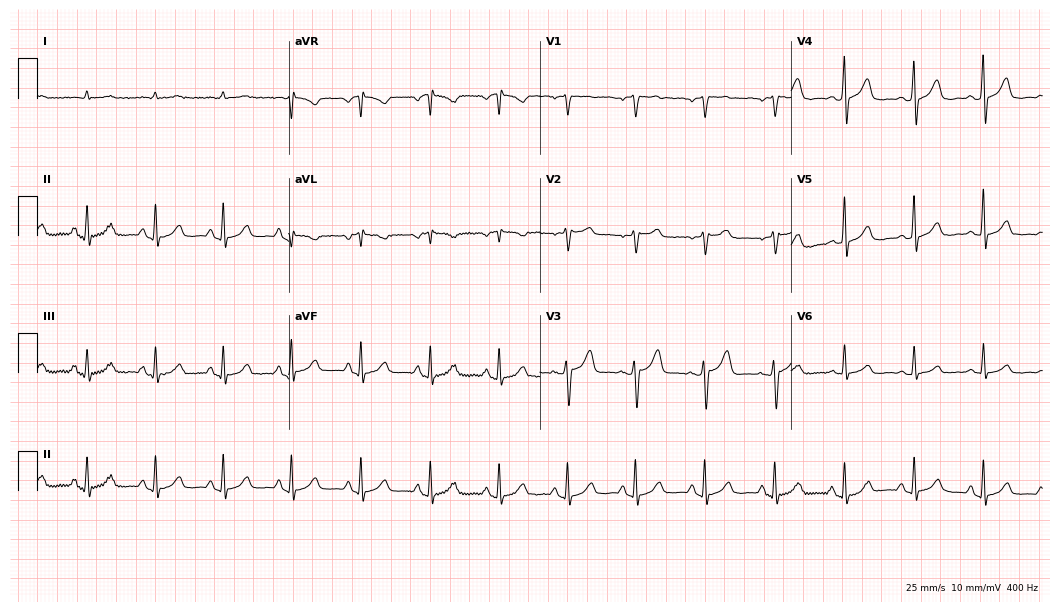
Standard 12-lead ECG recorded from a man, 79 years old. Read as a normal ECG.